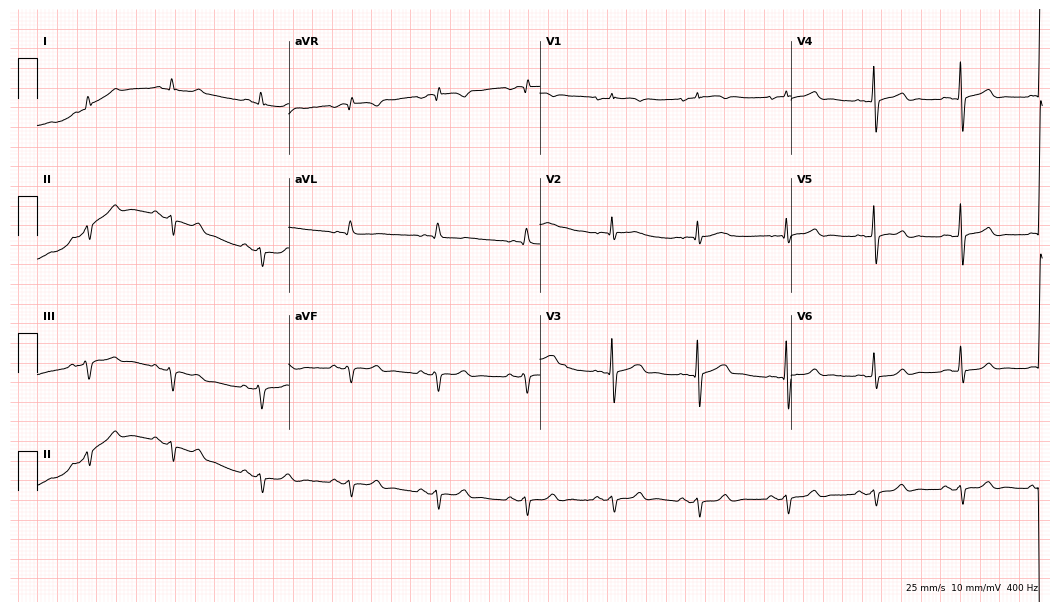
Electrocardiogram, a 72-year-old male. Of the six screened findings (first-degree AV block, right bundle branch block (RBBB), left bundle branch block (LBBB), sinus bradycardia, atrial fibrillation (AF), sinus tachycardia), none is recorded. Other findings, if any, are not listed.